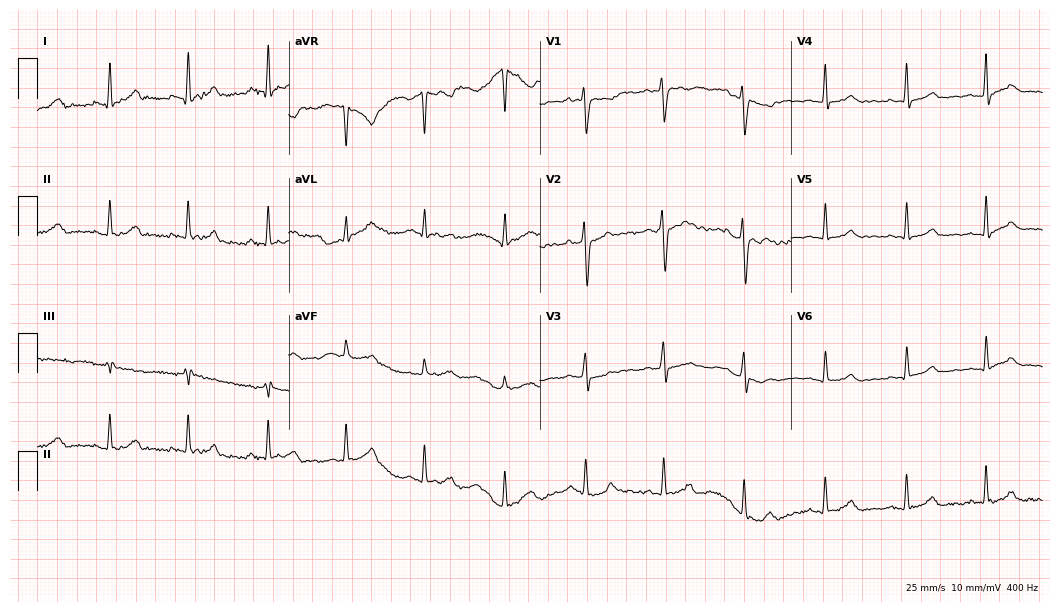
12-lead ECG from a 28-year-old woman. Recorded interpretation: within normal limits.